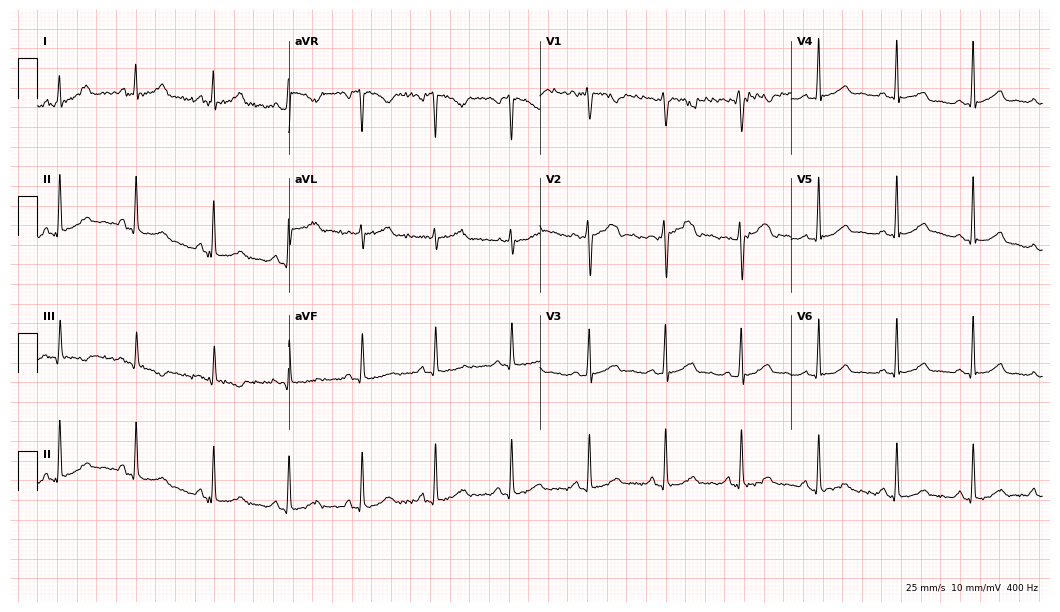
Standard 12-lead ECG recorded from a 33-year-old female (10.2-second recording at 400 Hz). Read as a normal ECG.